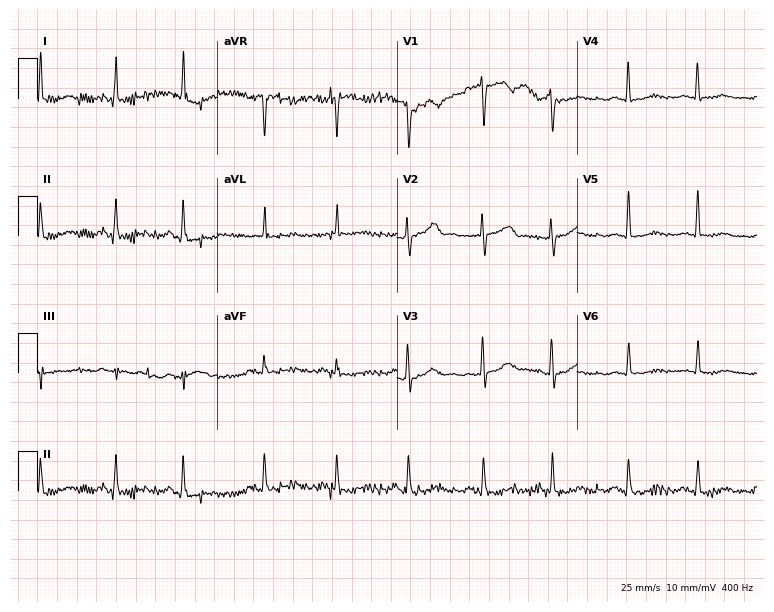
ECG — a female, 84 years old. Screened for six findings — first-degree AV block, right bundle branch block, left bundle branch block, sinus bradycardia, atrial fibrillation, sinus tachycardia — none is recorded.